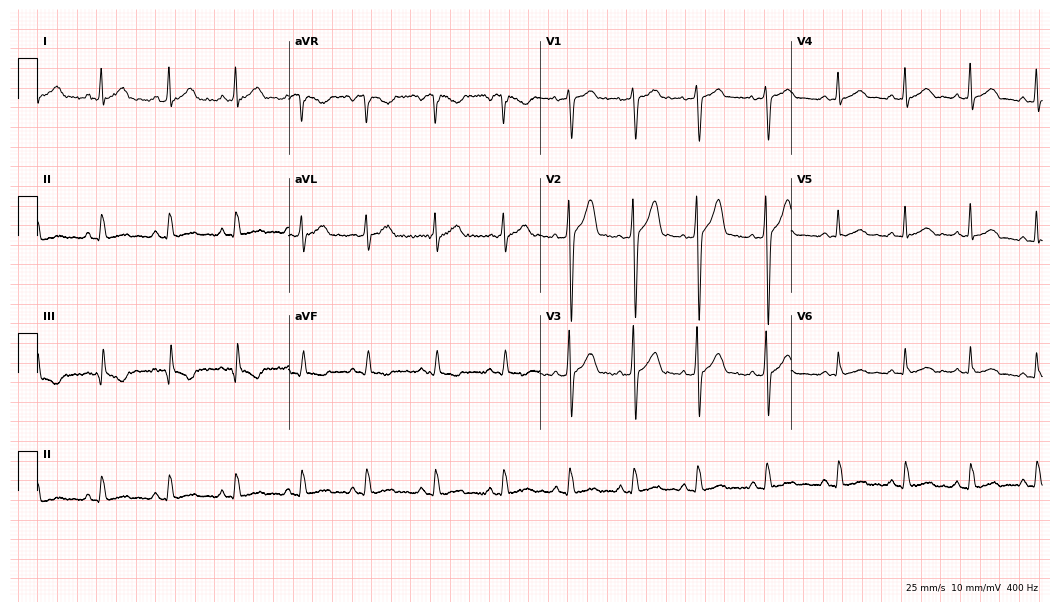
12-lead ECG from a 36-year-old male patient. Labelled as a normal ECG.